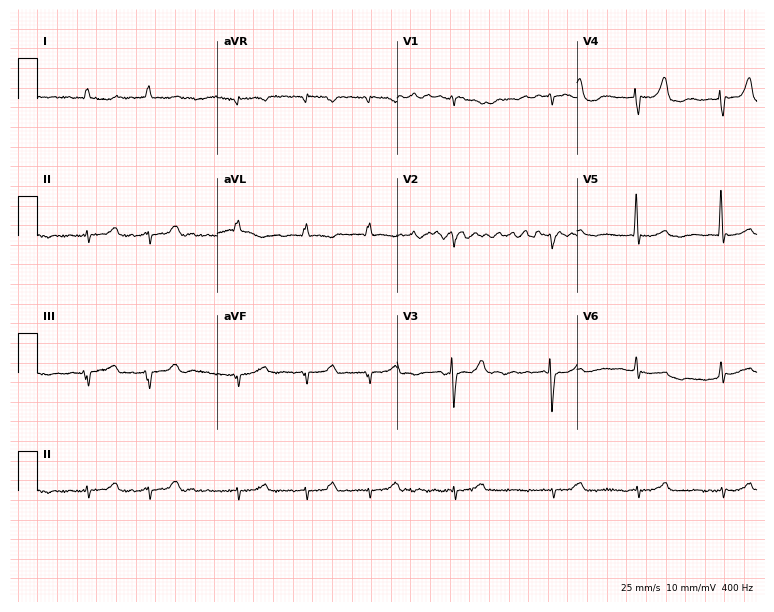
ECG — a female patient, 80 years old. Findings include atrial fibrillation.